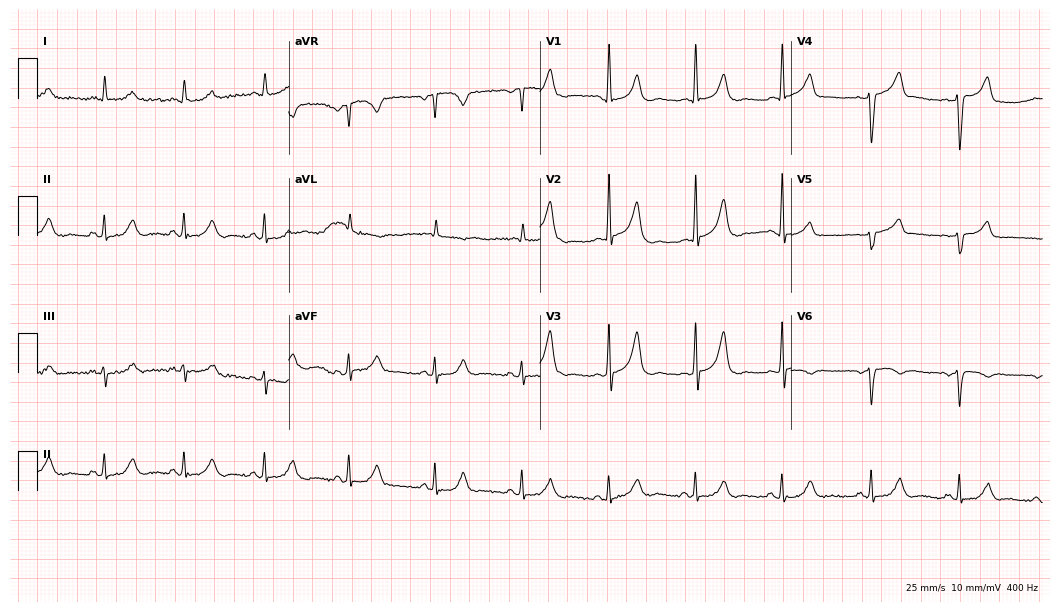
Standard 12-lead ECG recorded from a male patient, 74 years old (10.2-second recording at 400 Hz). None of these six findings is recorded: first-degree AV block, right bundle branch block (RBBB), left bundle branch block (LBBB), sinus bradycardia, atrial fibrillation (AF), sinus tachycardia. Only these six findings were labelled.